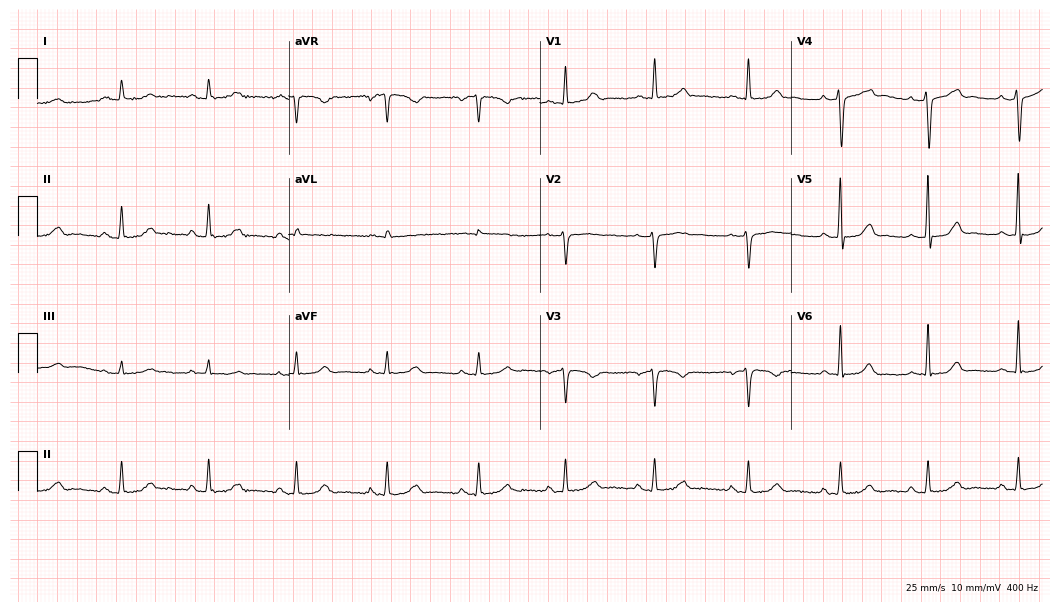
ECG — a 30-year-old female. Screened for six findings — first-degree AV block, right bundle branch block (RBBB), left bundle branch block (LBBB), sinus bradycardia, atrial fibrillation (AF), sinus tachycardia — none is recorded. Only these six findings were labelled.